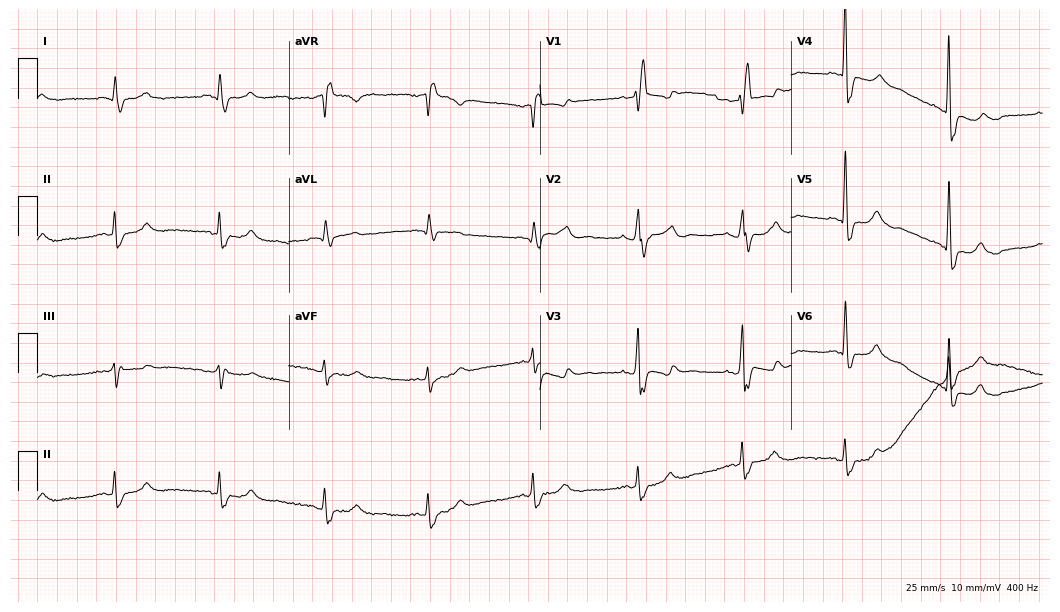
12-lead ECG from a male, 77 years old. Shows right bundle branch block (RBBB).